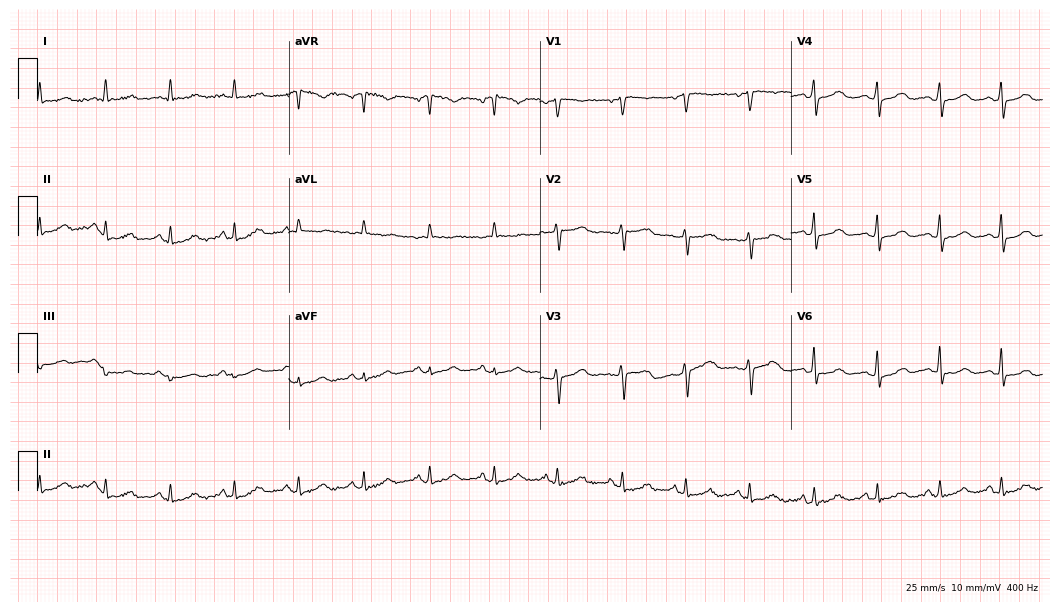
Electrocardiogram (10.2-second recording at 400 Hz), a 55-year-old woman. Overall reading on record: normal ECG.